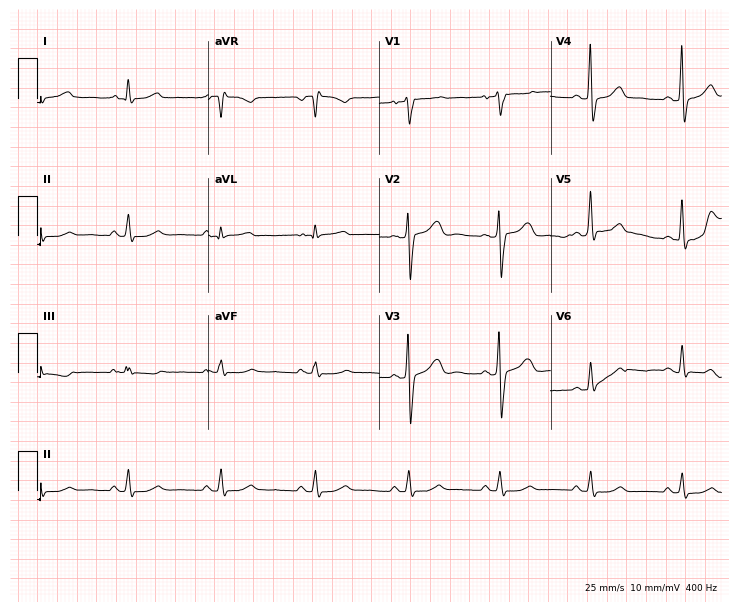
ECG (7-second recording at 400 Hz) — a 61-year-old male. Screened for six findings — first-degree AV block, right bundle branch block, left bundle branch block, sinus bradycardia, atrial fibrillation, sinus tachycardia — none is recorded. Other findings, if any, are not listed.